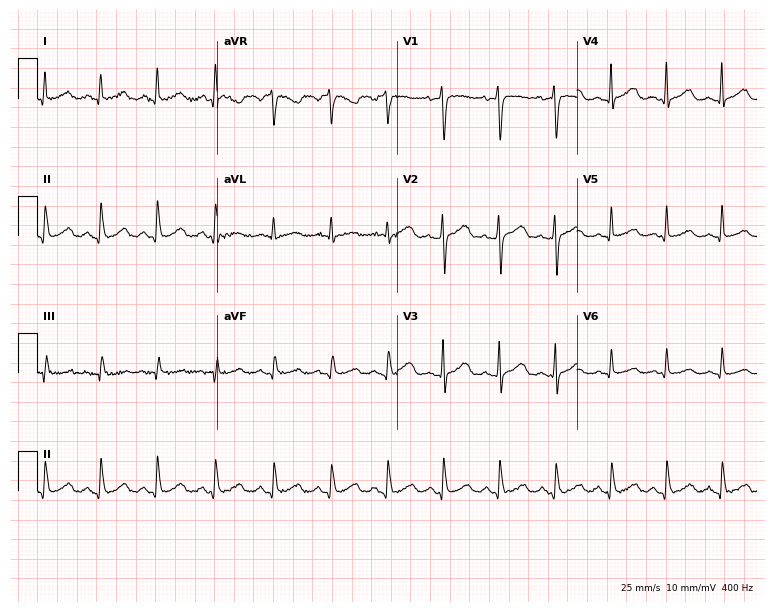
12-lead ECG from a female, 41 years old (7.3-second recording at 400 Hz). Recorded interpretation: within normal limits.